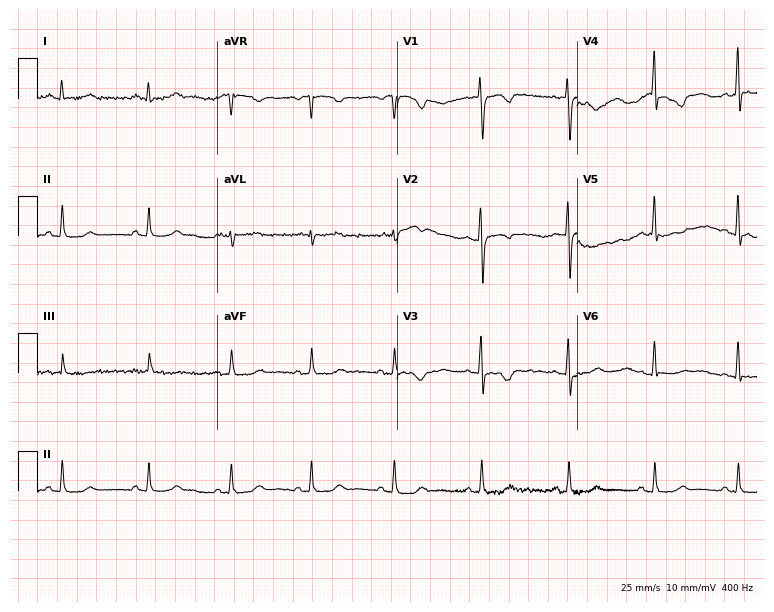
Resting 12-lead electrocardiogram. Patient: a 60-year-old female. None of these six findings is recorded: first-degree AV block, right bundle branch block (RBBB), left bundle branch block (LBBB), sinus bradycardia, atrial fibrillation (AF), sinus tachycardia.